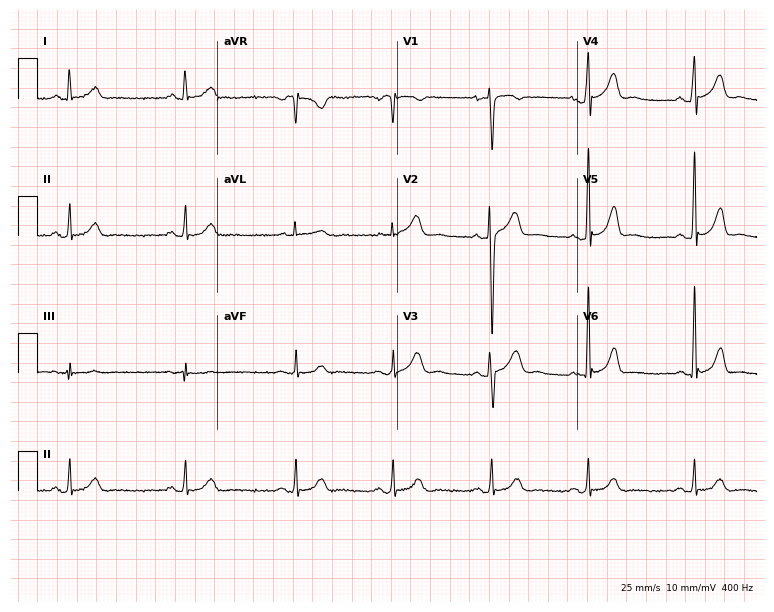
Electrocardiogram, a 29-year-old male patient. Of the six screened findings (first-degree AV block, right bundle branch block (RBBB), left bundle branch block (LBBB), sinus bradycardia, atrial fibrillation (AF), sinus tachycardia), none is recorded.